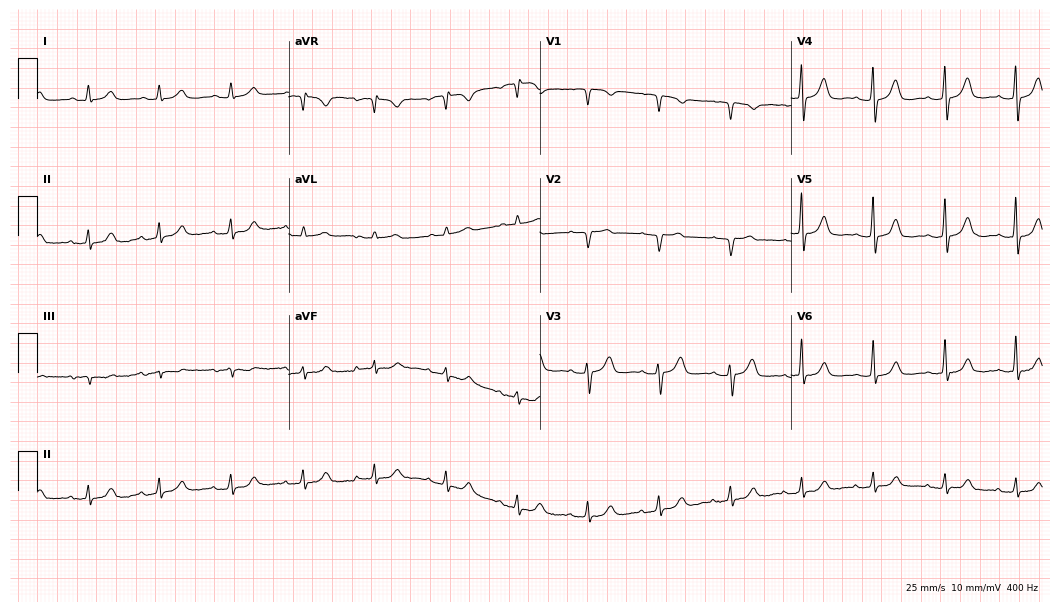
12-lead ECG from a 73-year-old female (10.2-second recording at 400 Hz). Recorded interpretation: within normal limits.